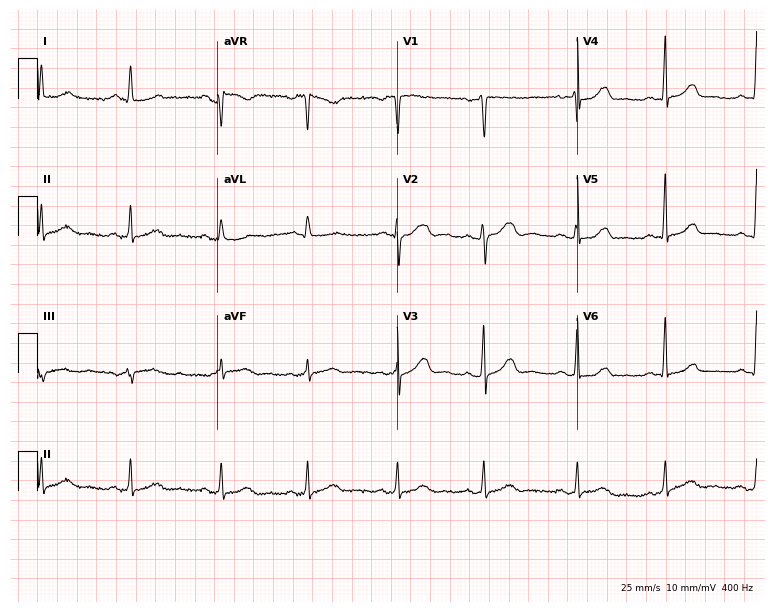
12-lead ECG from a woman, 48 years old. Recorded interpretation: within normal limits.